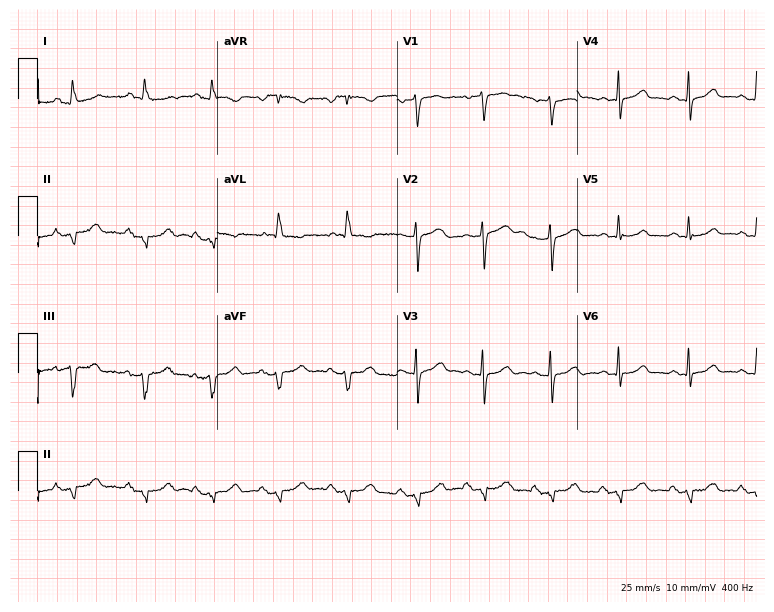
ECG (7.3-second recording at 400 Hz) — an 81-year-old woman. Screened for six findings — first-degree AV block, right bundle branch block (RBBB), left bundle branch block (LBBB), sinus bradycardia, atrial fibrillation (AF), sinus tachycardia — none is recorded.